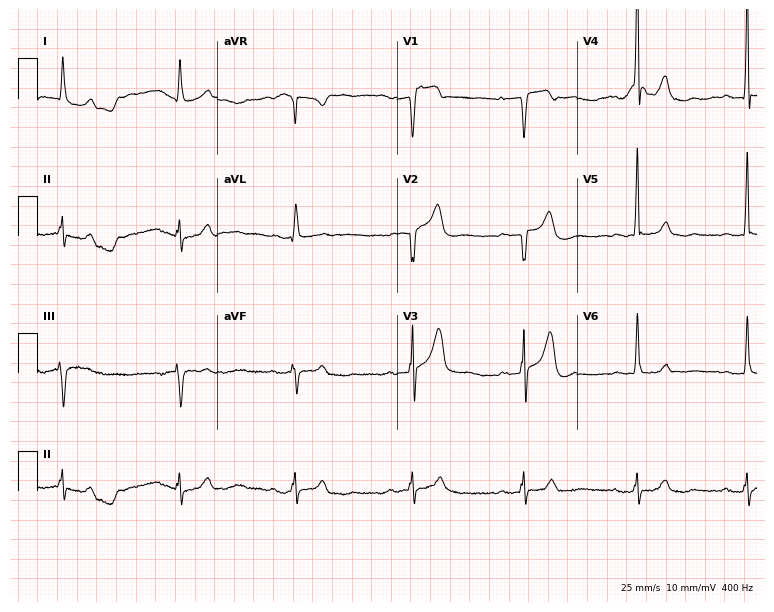
Electrocardiogram (7.3-second recording at 400 Hz), a 66-year-old male. Interpretation includes first-degree AV block.